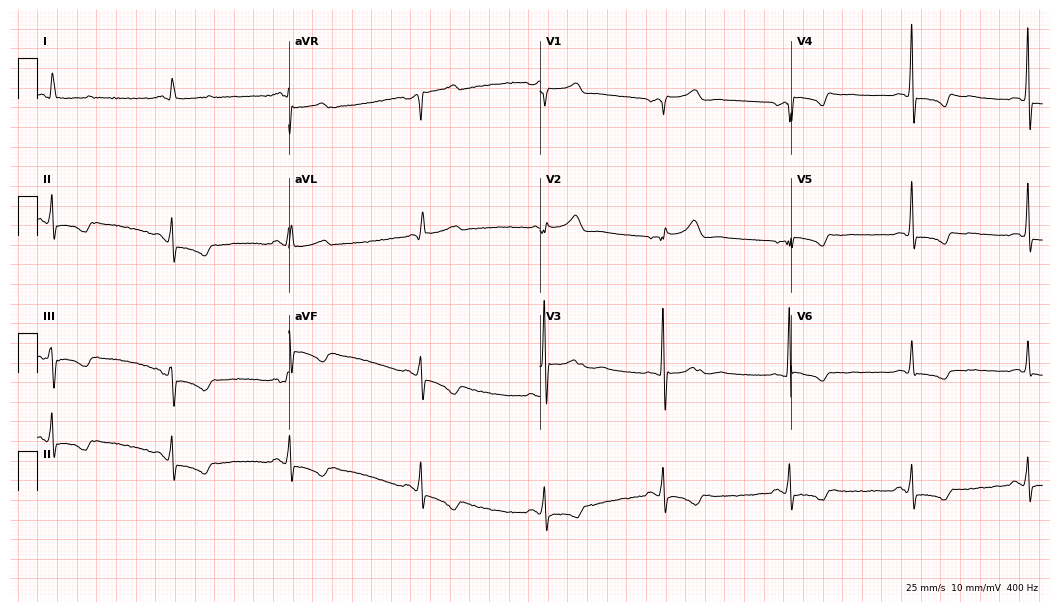
12-lead ECG from a 68-year-old male (10.2-second recording at 400 Hz). No first-degree AV block, right bundle branch block (RBBB), left bundle branch block (LBBB), sinus bradycardia, atrial fibrillation (AF) or sinus tachycardia recorded for this tracing.